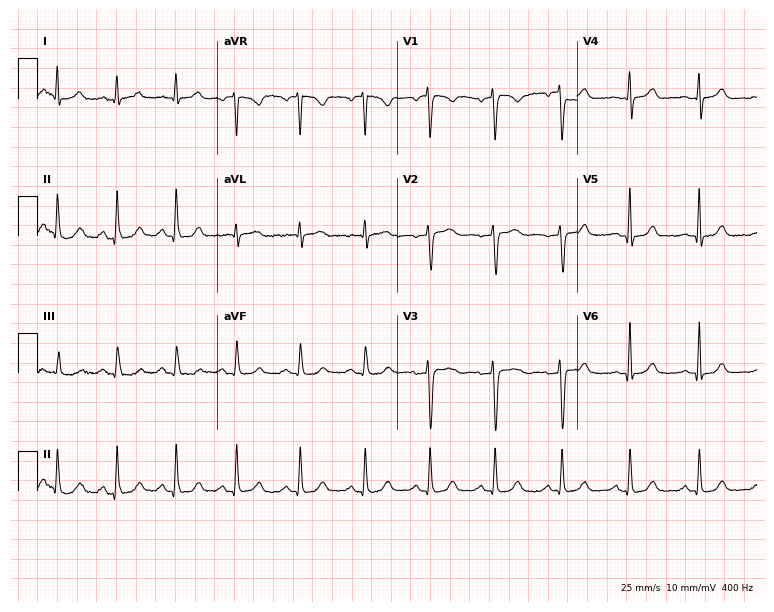
Electrocardiogram, a female, 44 years old. Of the six screened findings (first-degree AV block, right bundle branch block, left bundle branch block, sinus bradycardia, atrial fibrillation, sinus tachycardia), none is recorded.